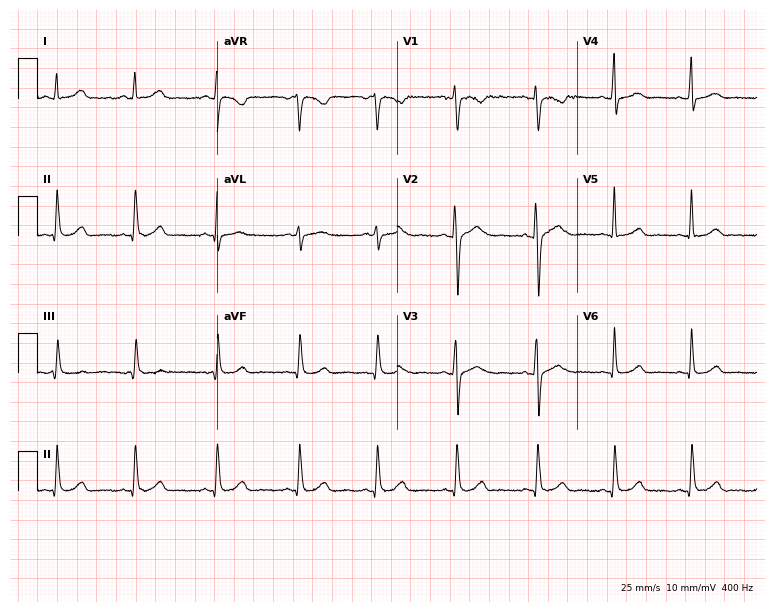
12-lead ECG (7.3-second recording at 400 Hz) from a 20-year-old woman. Screened for six findings — first-degree AV block, right bundle branch block, left bundle branch block, sinus bradycardia, atrial fibrillation, sinus tachycardia — none is recorded.